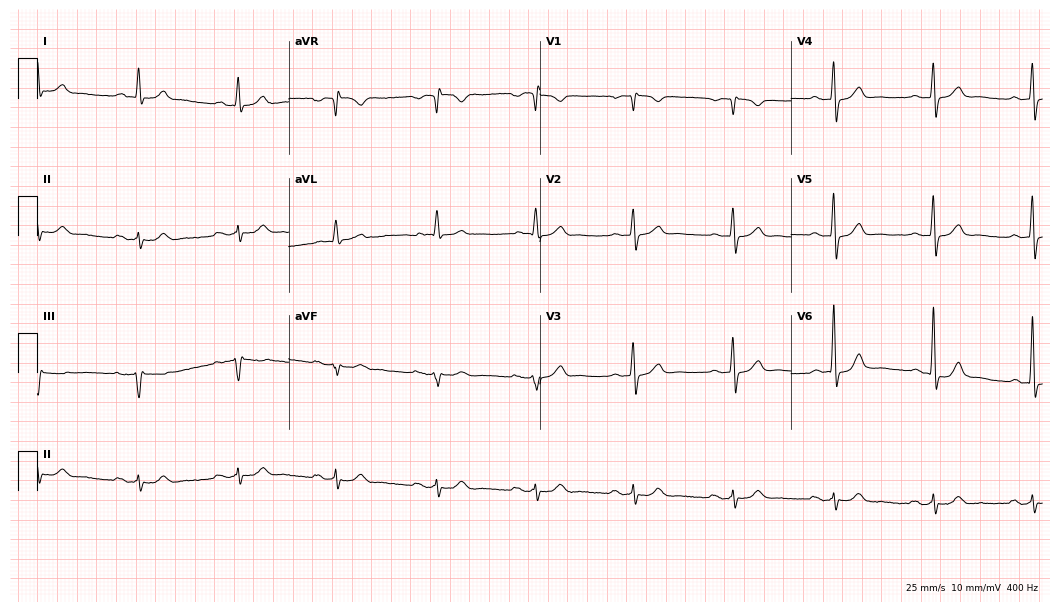
Standard 12-lead ECG recorded from a 73-year-old male patient (10.2-second recording at 400 Hz). None of these six findings is recorded: first-degree AV block, right bundle branch block (RBBB), left bundle branch block (LBBB), sinus bradycardia, atrial fibrillation (AF), sinus tachycardia.